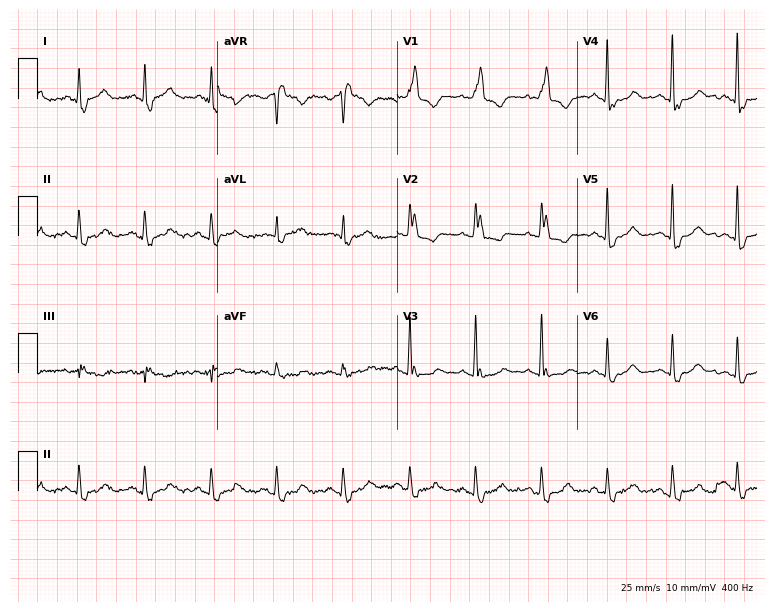
ECG (7.3-second recording at 400 Hz) — a female, 72 years old. Findings include right bundle branch block (RBBB).